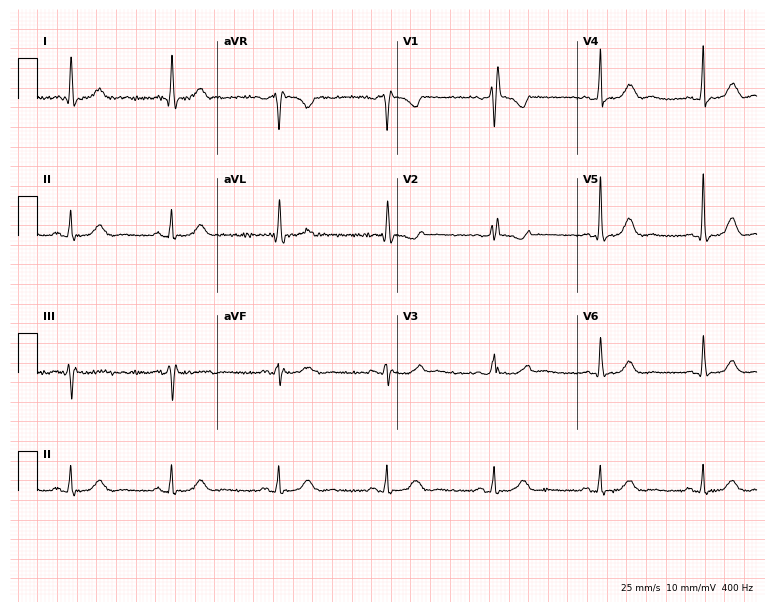
Resting 12-lead electrocardiogram. Patient: a 65-year-old woman. The tracing shows right bundle branch block.